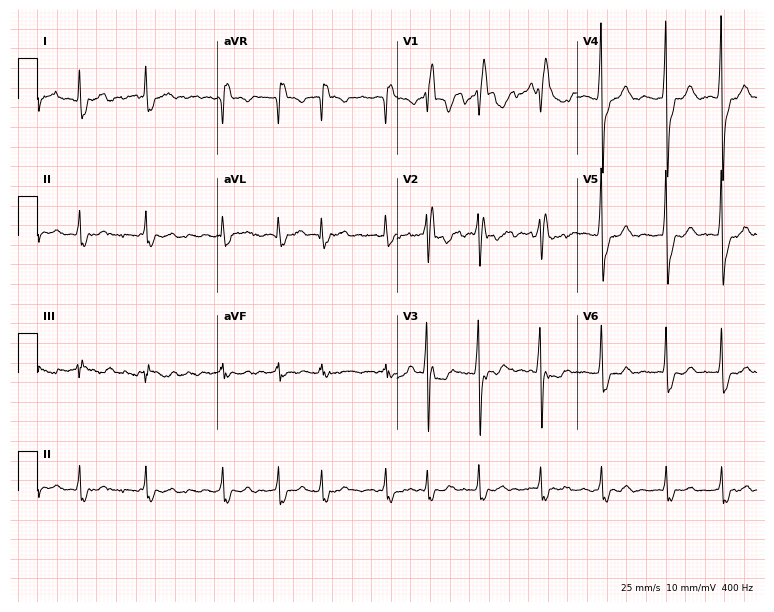
Resting 12-lead electrocardiogram. Patient: a male, 65 years old. The tracing shows right bundle branch block, atrial fibrillation.